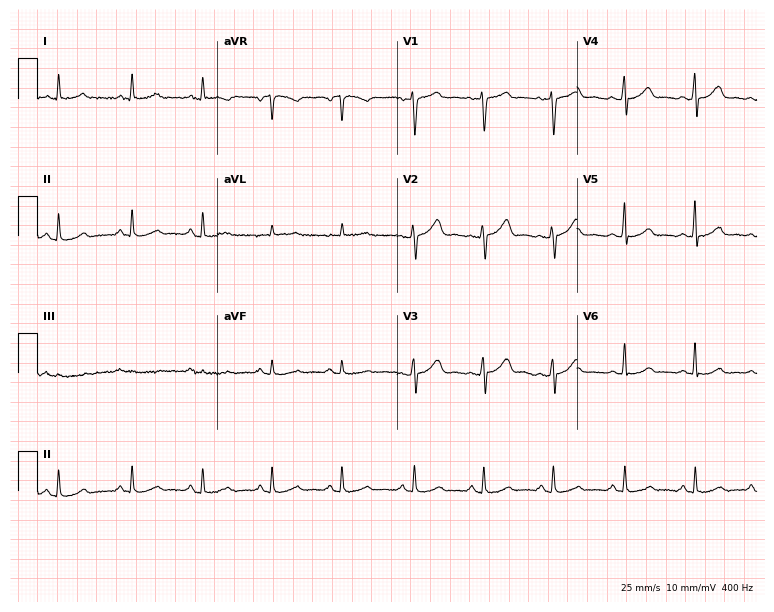
Resting 12-lead electrocardiogram (7.3-second recording at 400 Hz). Patient: a 51-year-old woman. Read as a normal ECG.